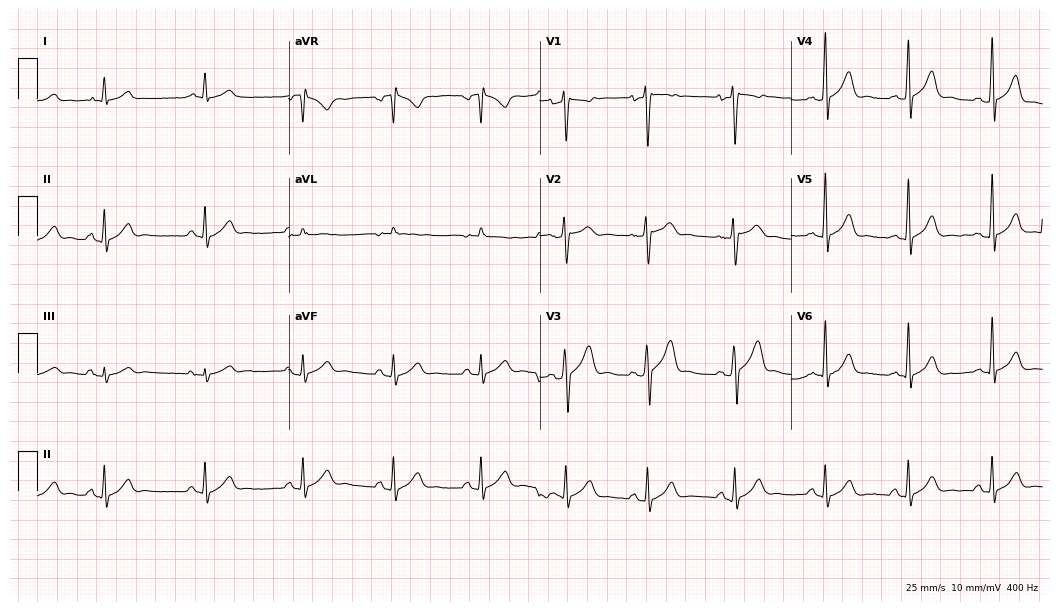
Resting 12-lead electrocardiogram. Patient: a 34-year-old male. Read as a normal ECG.